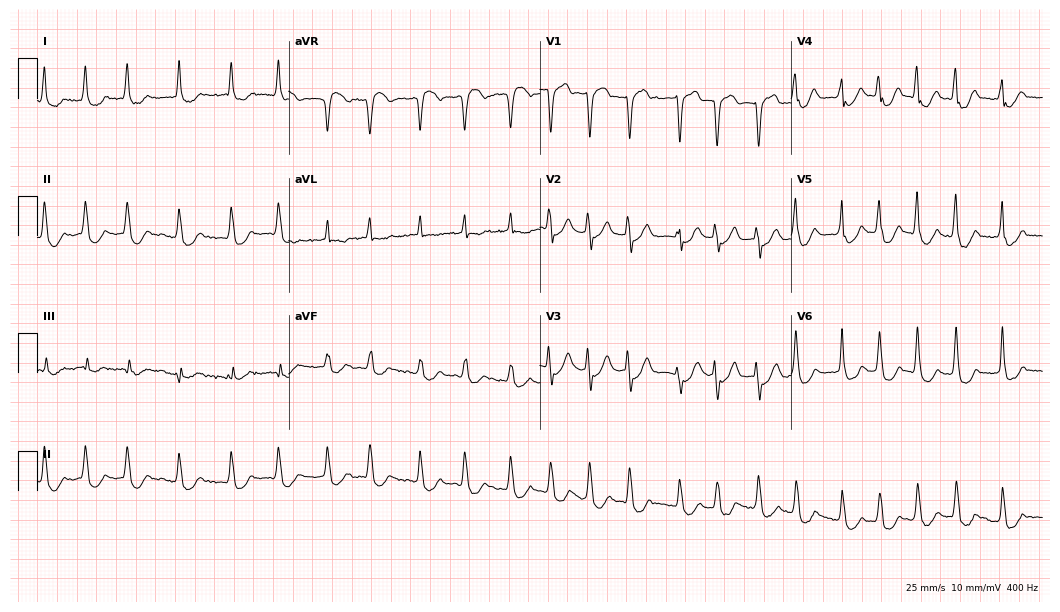
12-lead ECG from a 74-year-old man. Findings include atrial fibrillation (AF), sinus tachycardia (a sinus rate of 100 beats per minute or more).